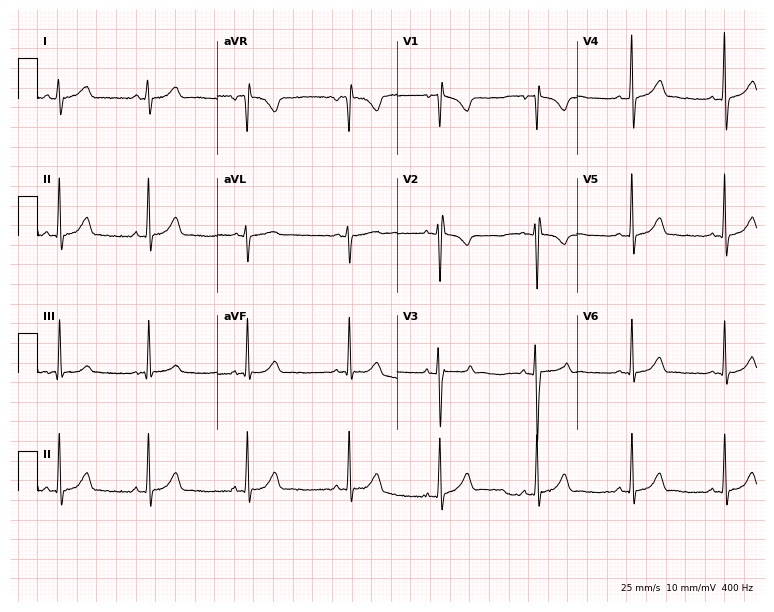
Electrocardiogram (7.3-second recording at 400 Hz), a female, 17 years old. Overall reading on record: normal ECG.